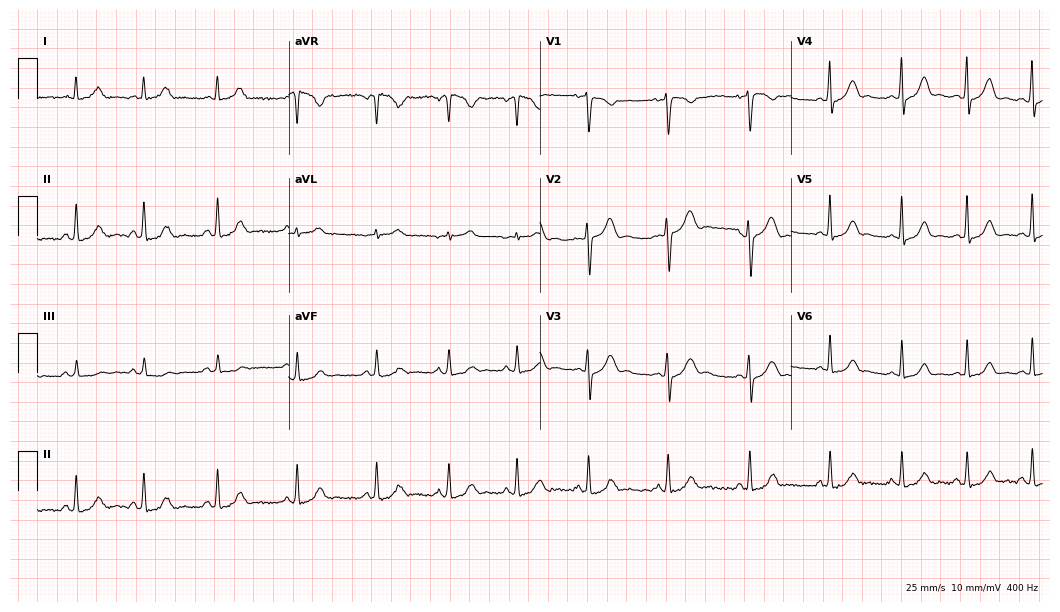
Resting 12-lead electrocardiogram (10.2-second recording at 400 Hz). Patient: a female, 36 years old. None of these six findings is recorded: first-degree AV block, right bundle branch block, left bundle branch block, sinus bradycardia, atrial fibrillation, sinus tachycardia. Findings outside these six are not listed.